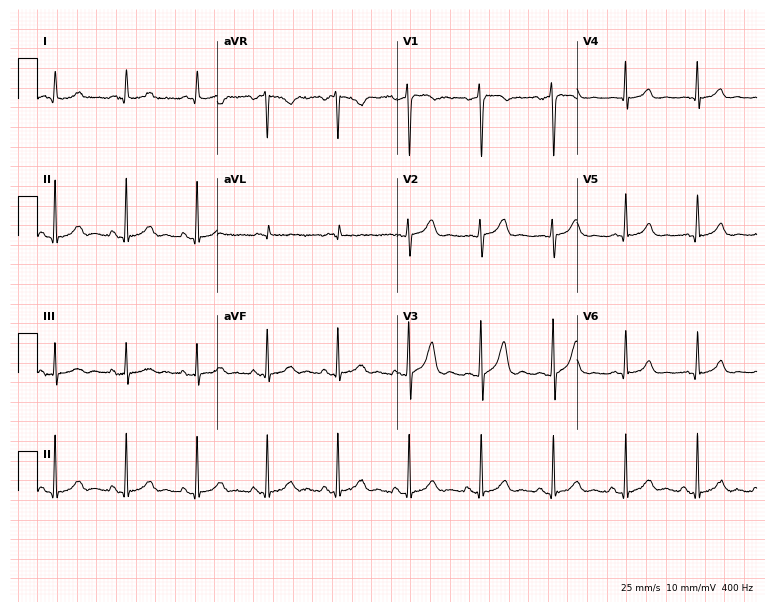
12-lead ECG from a 52-year-old male. Labelled as a normal ECG.